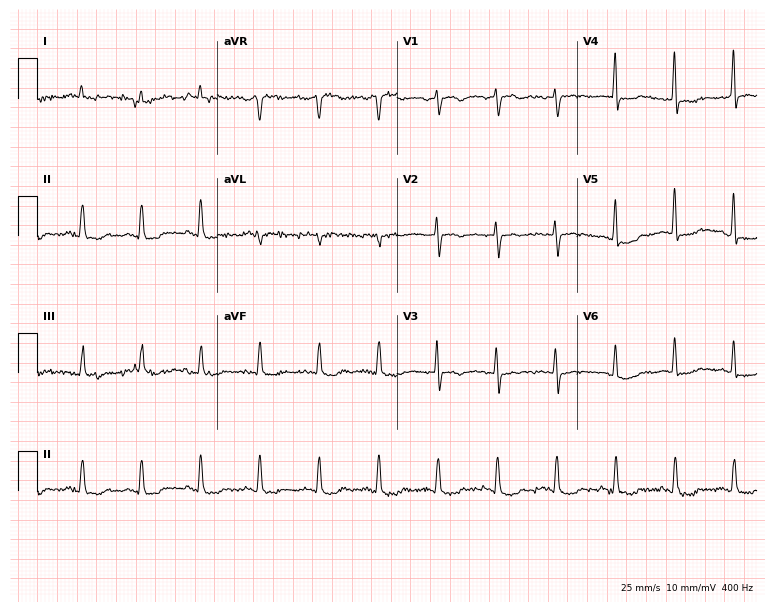
ECG (7.3-second recording at 400 Hz) — a female, 73 years old. Screened for six findings — first-degree AV block, right bundle branch block, left bundle branch block, sinus bradycardia, atrial fibrillation, sinus tachycardia — none is recorded.